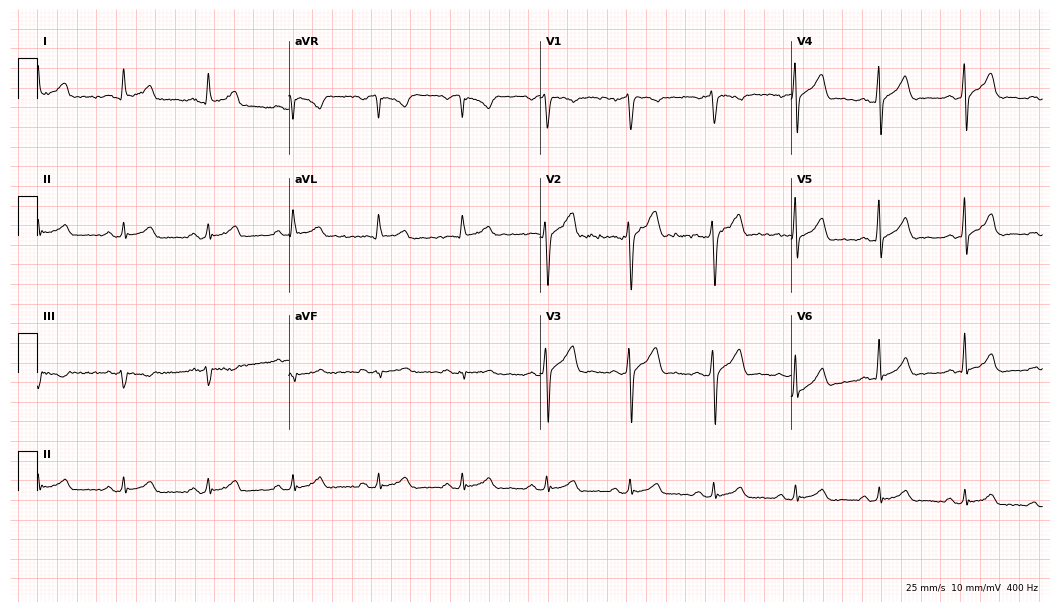
Electrocardiogram (10.2-second recording at 400 Hz), a 40-year-old male patient. Overall reading on record: normal ECG.